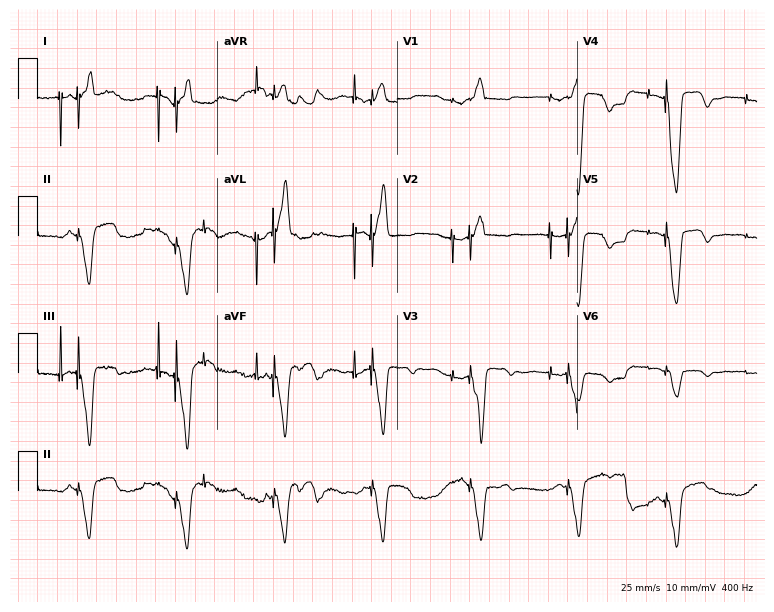
Standard 12-lead ECG recorded from a female, 71 years old (7.3-second recording at 400 Hz). None of these six findings is recorded: first-degree AV block, right bundle branch block, left bundle branch block, sinus bradycardia, atrial fibrillation, sinus tachycardia. Findings outside these six are not listed.